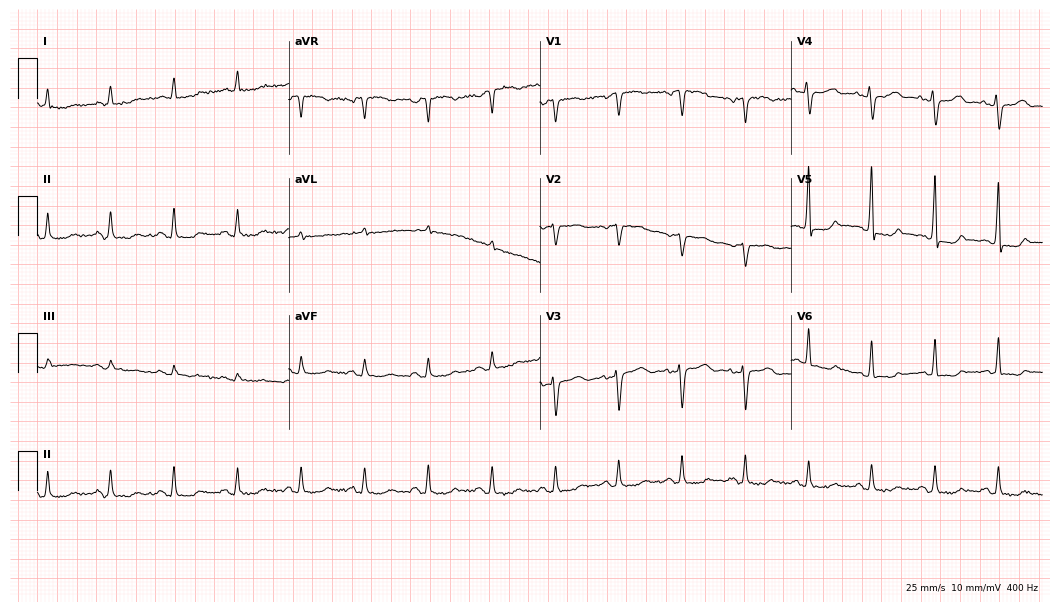
12-lead ECG (10.2-second recording at 400 Hz) from a female, 80 years old. Screened for six findings — first-degree AV block, right bundle branch block, left bundle branch block, sinus bradycardia, atrial fibrillation, sinus tachycardia — none is recorded. Other findings, if any, are not listed.